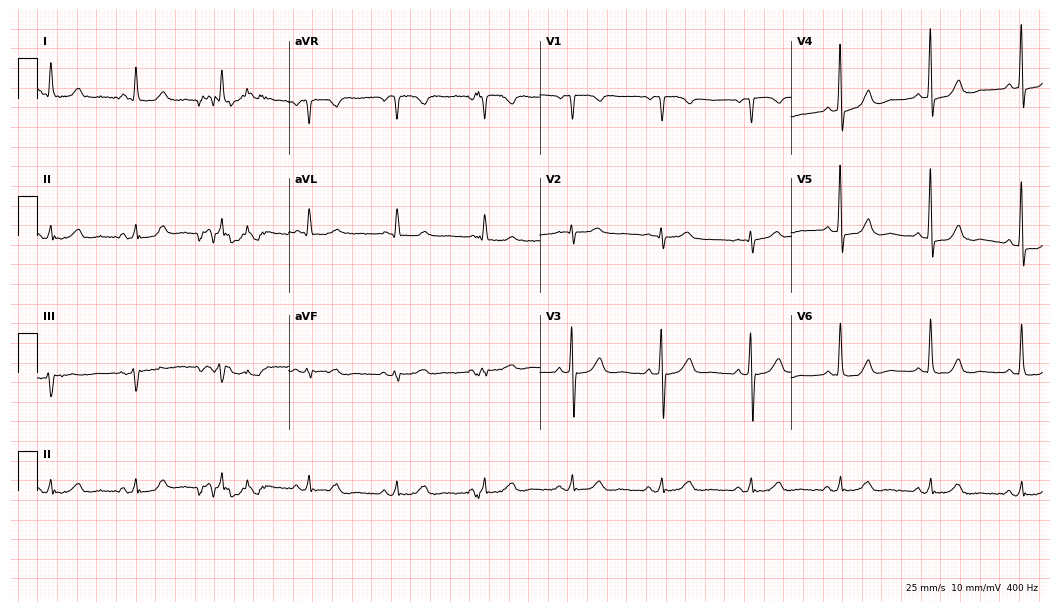
12-lead ECG from a 63-year-old male (10.2-second recording at 400 Hz). No first-degree AV block, right bundle branch block, left bundle branch block, sinus bradycardia, atrial fibrillation or sinus tachycardia recorded for this tracing. Findings outside these six are not listed.